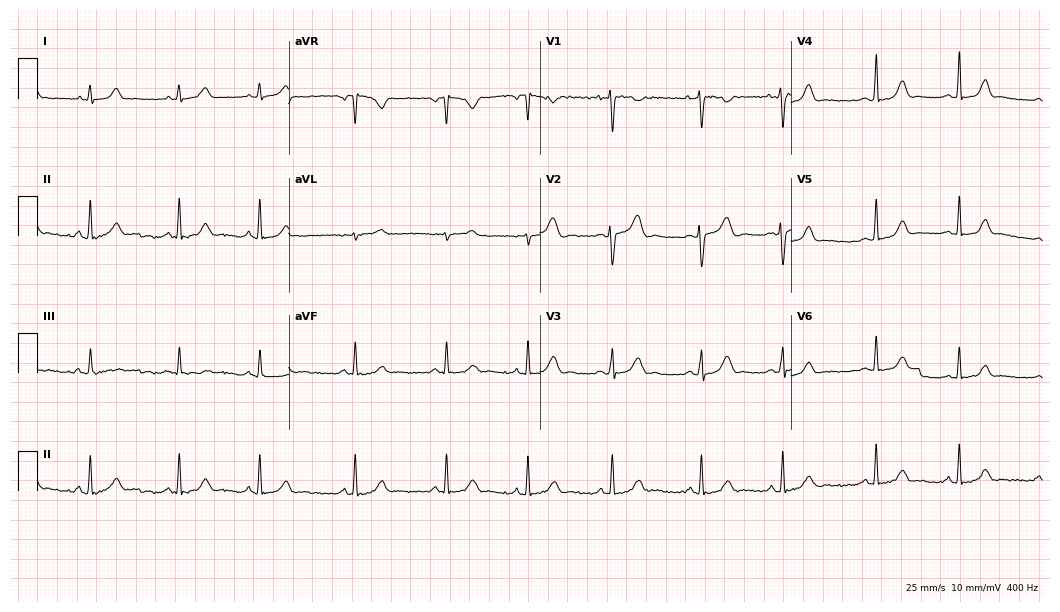
Standard 12-lead ECG recorded from a 20-year-old female. Read as a normal ECG.